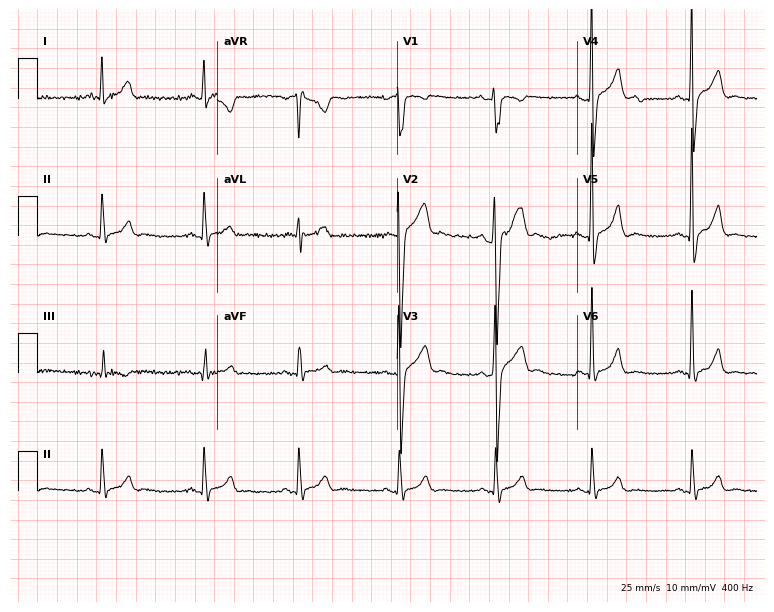
ECG — a 28-year-old male. Labelled as a normal ECG.